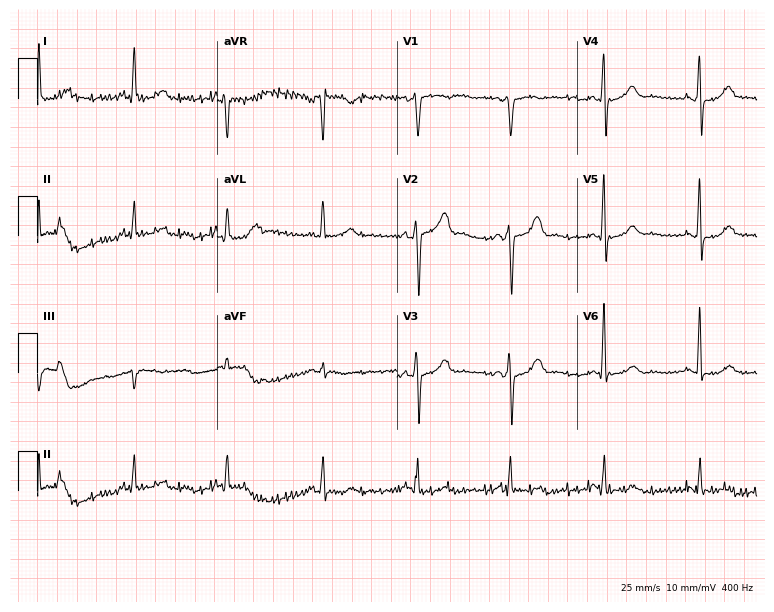
Resting 12-lead electrocardiogram (7.3-second recording at 400 Hz). Patient: a 54-year-old male. None of these six findings is recorded: first-degree AV block, right bundle branch block, left bundle branch block, sinus bradycardia, atrial fibrillation, sinus tachycardia.